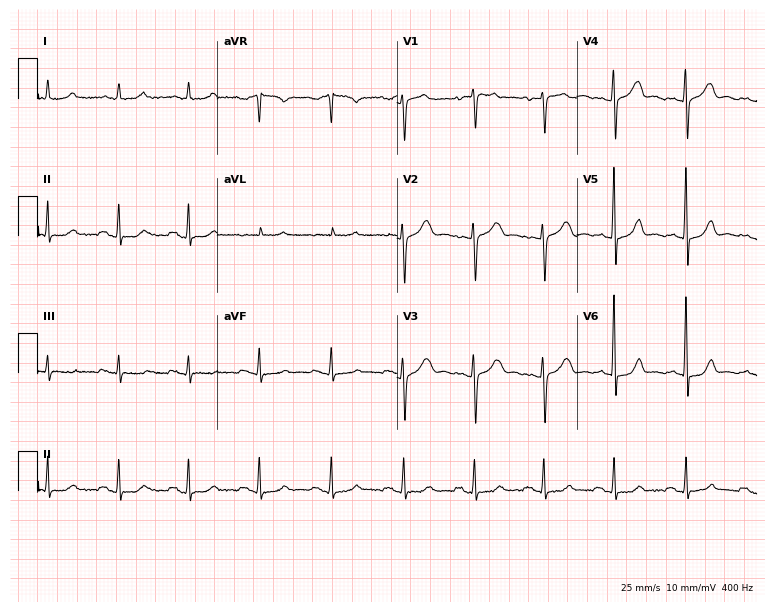
Standard 12-lead ECG recorded from a 47-year-old female patient. None of these six findings is recorded: first-degree AV block, right bundle branch block, left bundle branch block, sinus bradycardia, atrial fibrillation, sinus tachycardia.